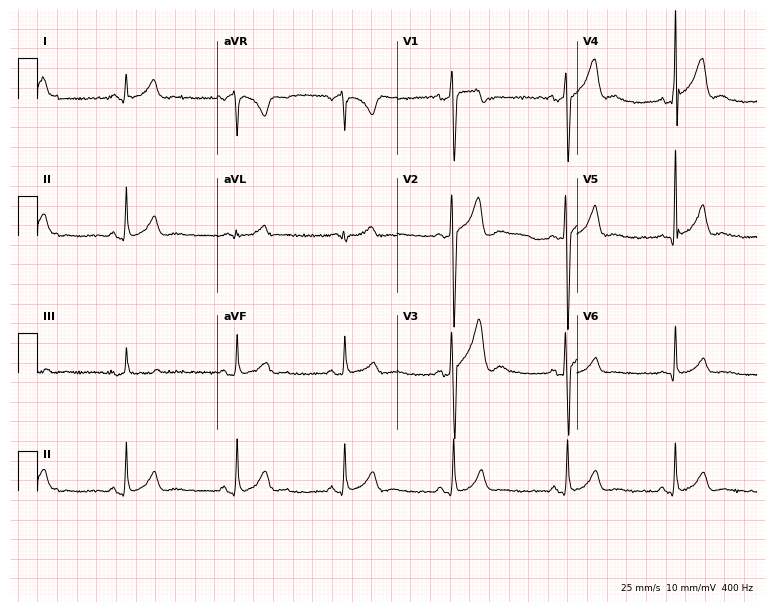
Electrocardiogram, a 25-year-old male patient. Of the six screened findings (first-degree AV block, right bundle branch block, left bundle branch block, sinus bradycardia, atrial fibrillation, sinus tachycardia), none is recorded.